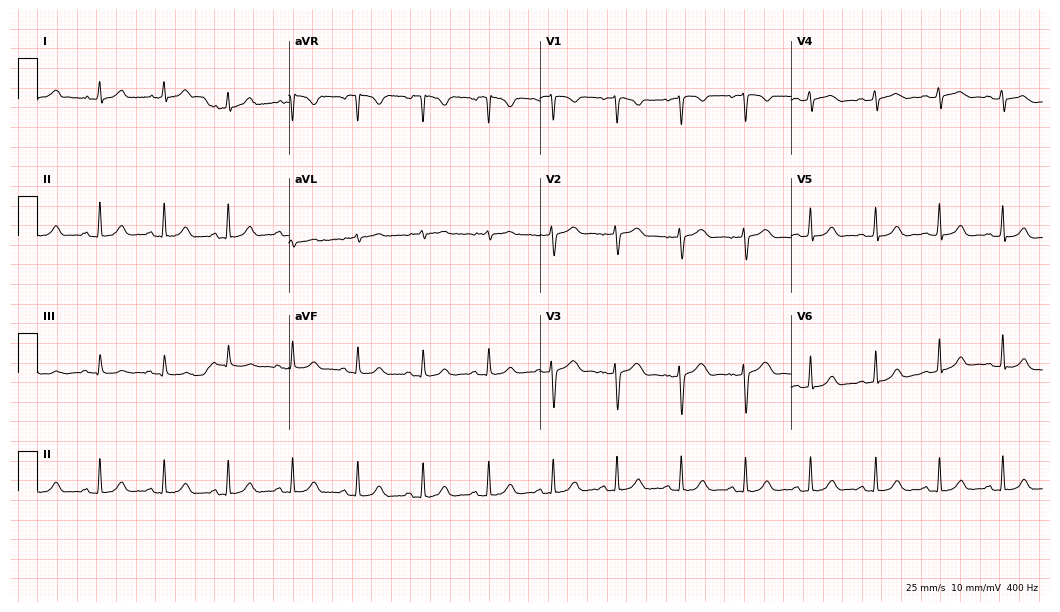
12-lead ECG from a 24-year-old female patient. Recorded interpretation: within normal limits.